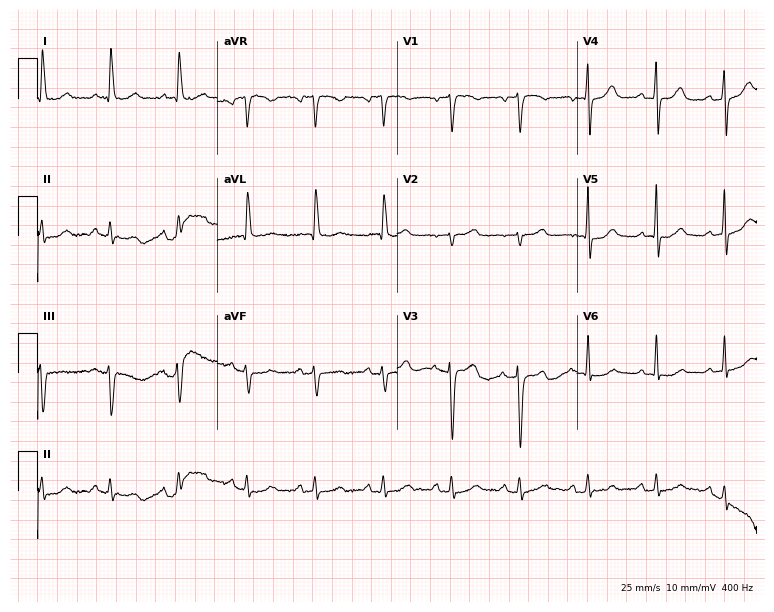
12-lead ECG (7.3-second recording at 400 Hz) from a female, 73 years old. Labelled as a normal ECG.